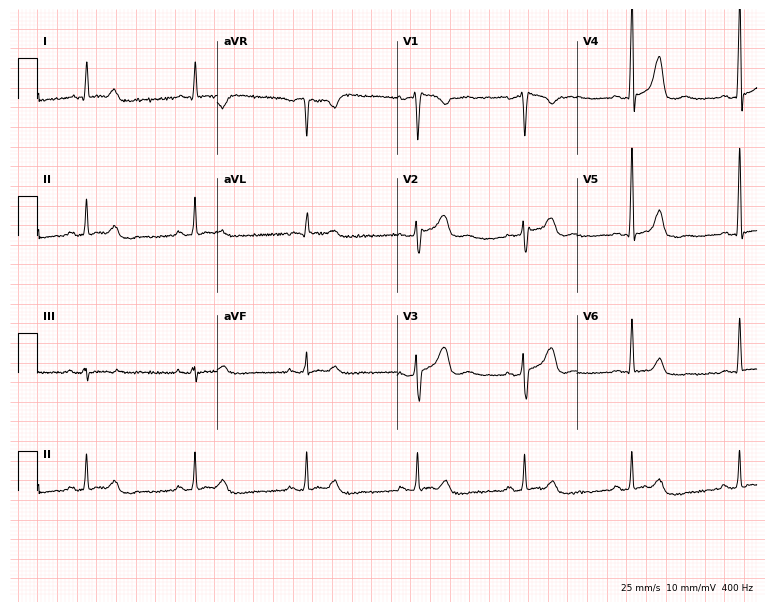
Electrocardiogram (7.3-second recording at 400 Hz), a woman, 53 years old. Overall reading on record: normal ECG.